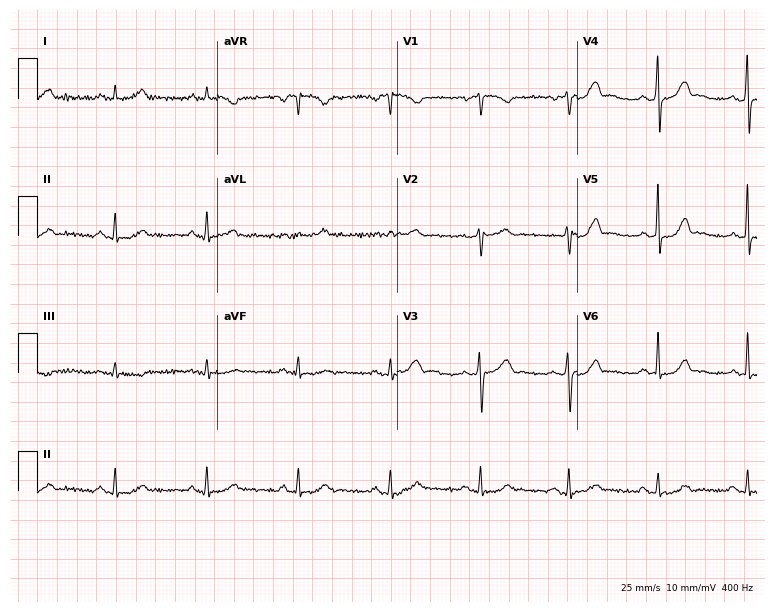
12-lead ECG (7.3-second recording at 400 Hz) from a male, 51 years old. Labelled as a normal ECG.